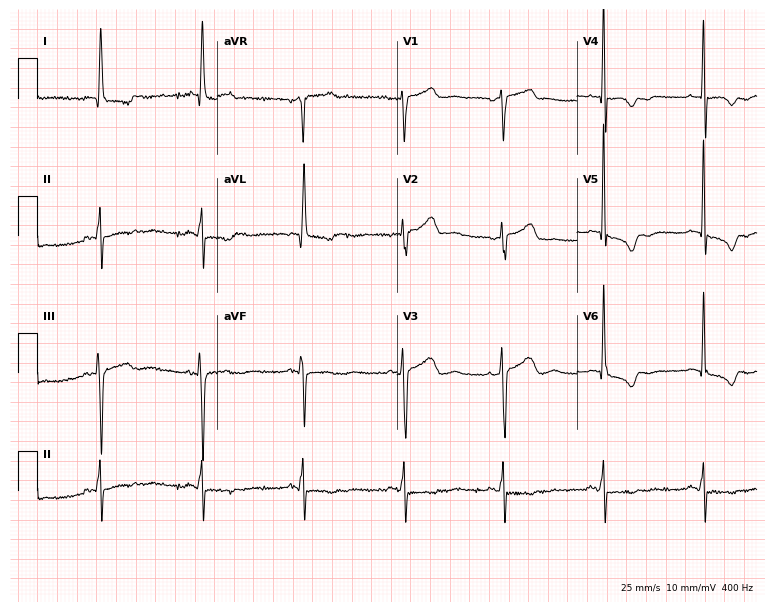
12-lead ECG from a 71-year-old female. Screened for six findings — first-degree AV block, right bundle branch block, left bundle branch block, sinus bradycardia, atrial fibrillation, sinus tachycardia — none is recorded.